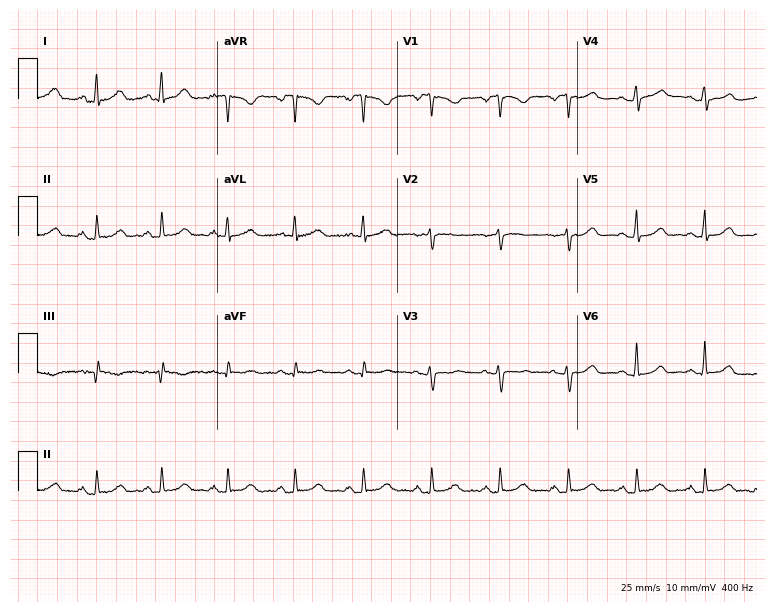
Electrocardiogram, a 47-year-old woman. Of the six screened findings (first-degree AV block, right bundle branch block (RBBB), left bundle branch block (LBBB), sinus bradycardia, atrial fibrillation (AF), sinus tachycardia), none is recorded.